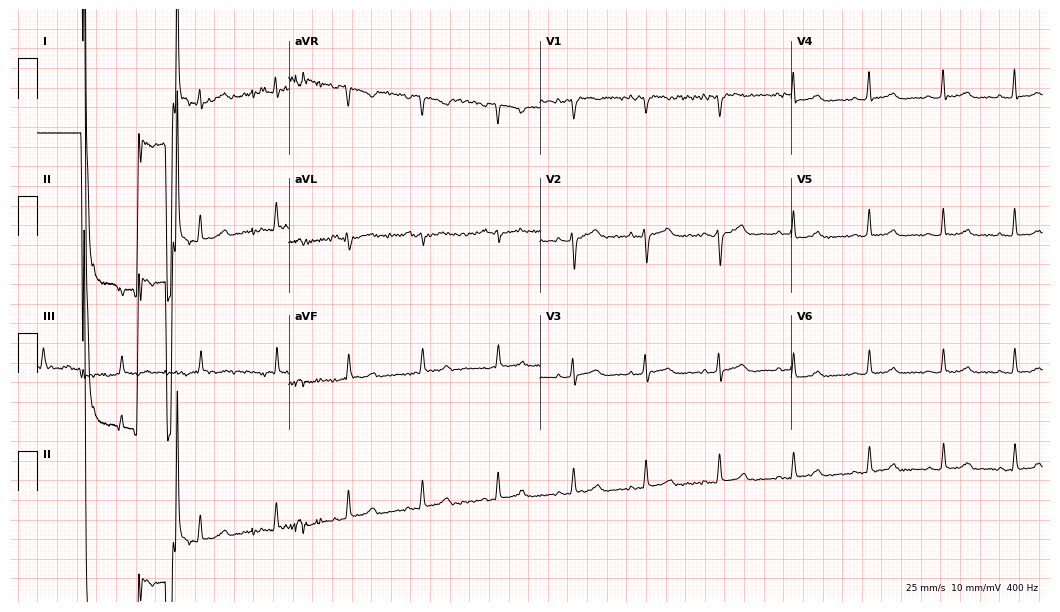
Standard 12-lead ECG recorded from a woman, 37 years old (10.2-second recording at 400 Hz). None of these six findings is recorded: first-degree AV block, right bundle branch block, left bundle branch block, sinus bradycardia, atrial fibrillation, sinus tachycardia.